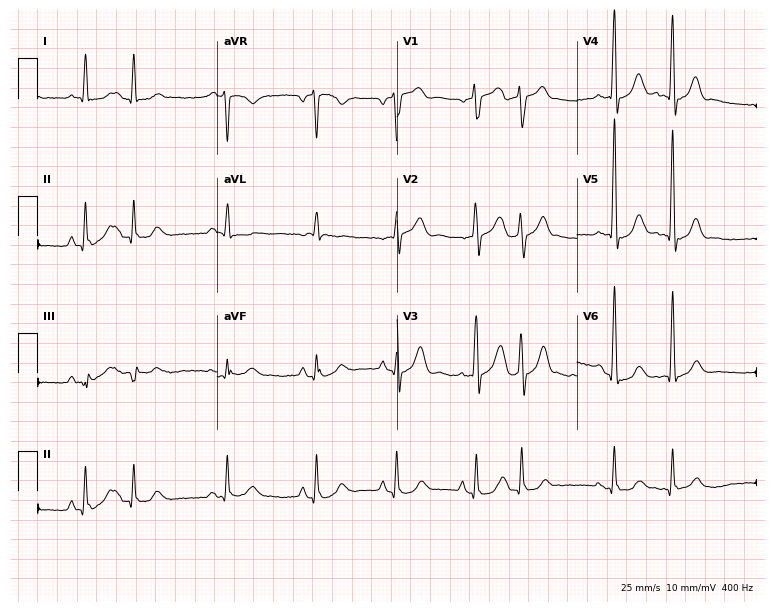
Electrocardiogram, a male patient, 74 years old. Of the six screened findings (first-degree AV block, right bundle branch block (RBBB), left bundle branch block (LBBB), sinus bradycardia, atrial fibrillation (AF), sinus tachycardia), none is recorded.